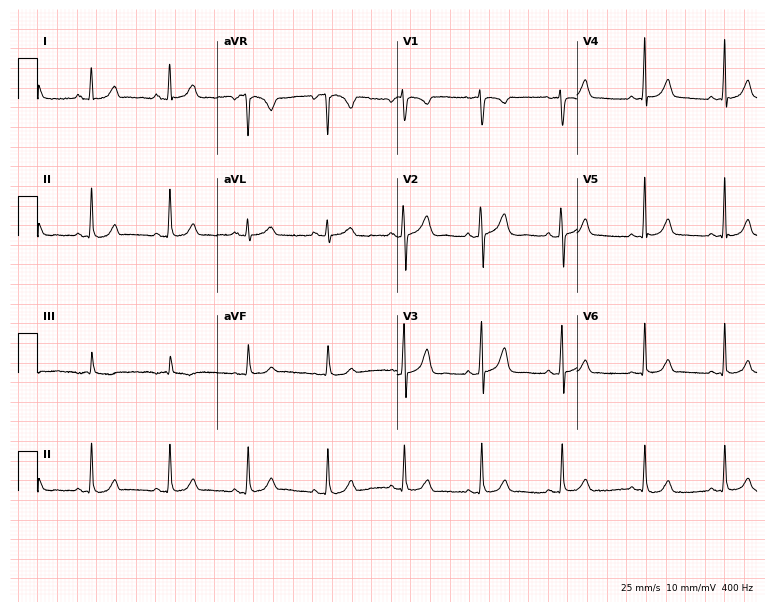
Electrocardiogram (7.3-second recording at 400 Hz), a female, 30 years old. Overall reading on record: normal ECG.